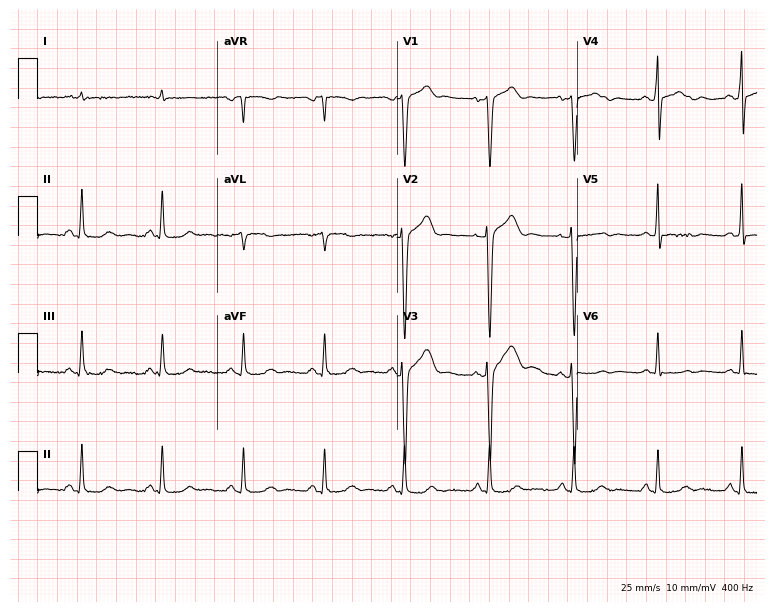
ECG — a male, 58 years old. Screened for six findings — first-degree AV block, right bundle branch block, left bundle branch block, sinus bradycardia, atrial fibrillation, sinus tachycardia — none is recorded.